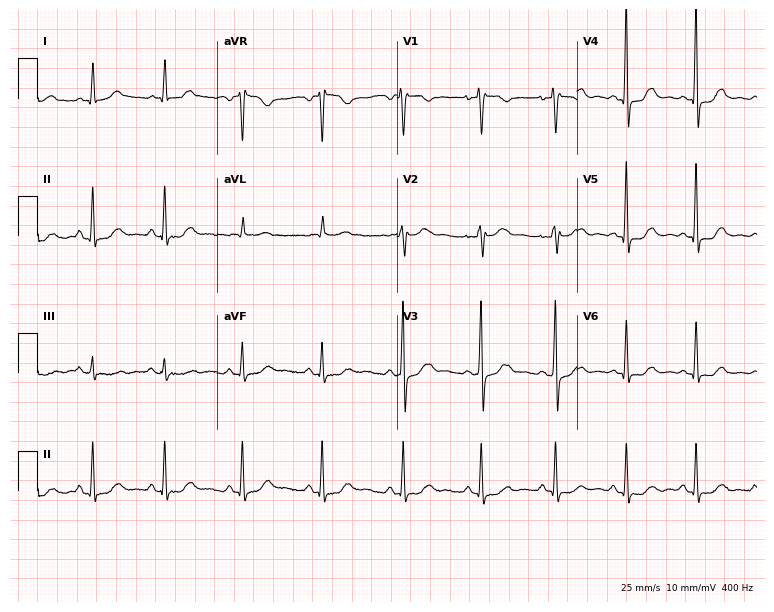
Resting 12-lead electrocardiogram. Patient: a female, 51 years old. None of these six findings is recorded: first-degree AV block, right bundle branch block, left bundle branch block, sinus bradycardia, atrial fibrillation, sinus tachycardia.